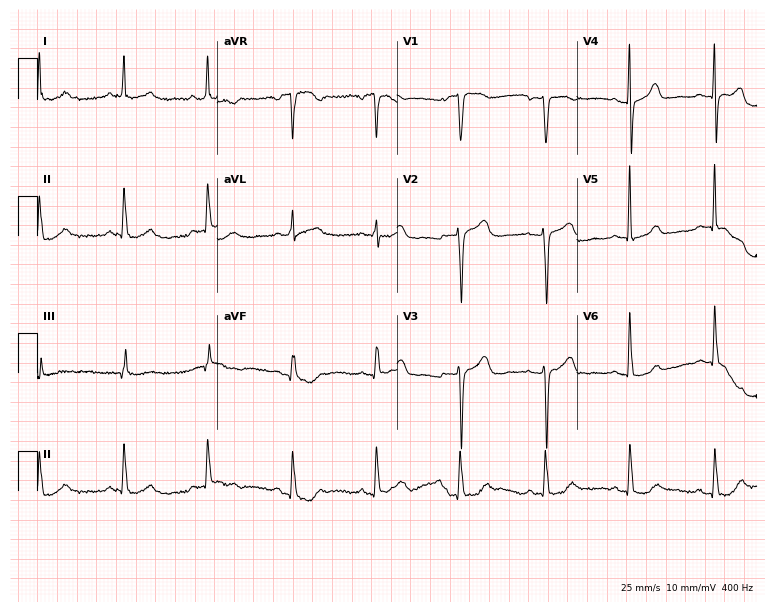
Standard 12-lead ECG recorded from a 62-year-old woman (7.3-second recording at 400 Hz). Read as a normal ECG.